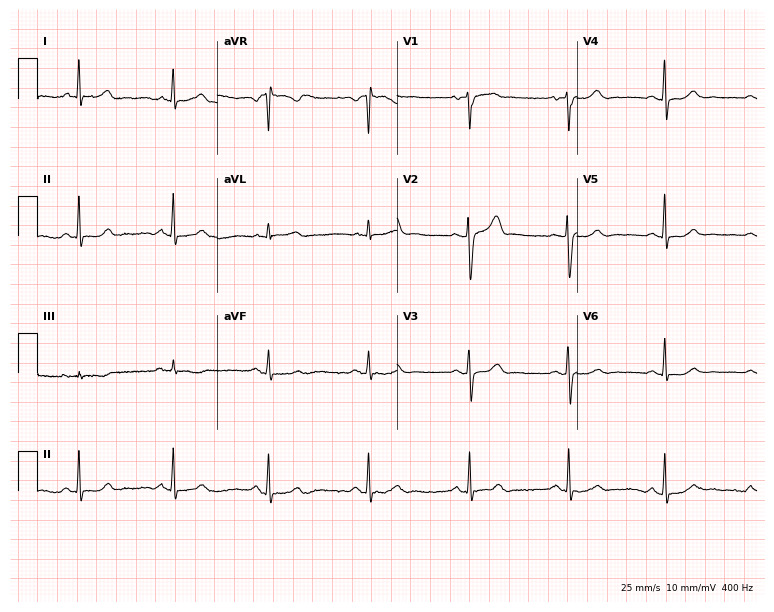
Resting 12-lead electrocardiogram. Patient: a female, 56 years old. Read as a normal ECG.